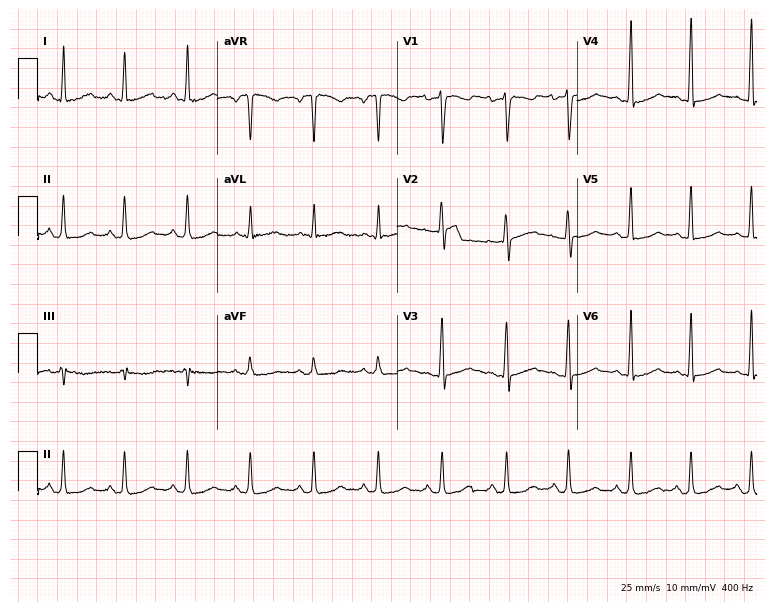
12-lead ECG from a female, 56 years old. Screened for six findings — first-degree AV block, right bundle branch block, left bundle branch block, sinus bradycardia, atrial fibrillation, sinus tachycardia — none is recorded.